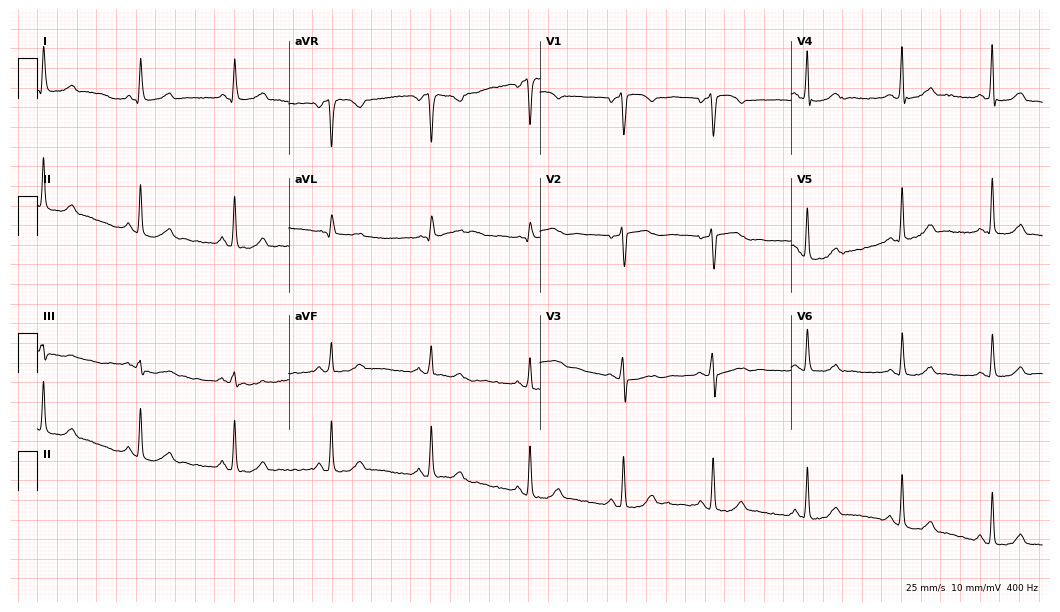
Resting 12-lead electrocardiogram (10.2-second recording at 400 Hz). Patient: a 60-year-old female. Read as a normal ECG.